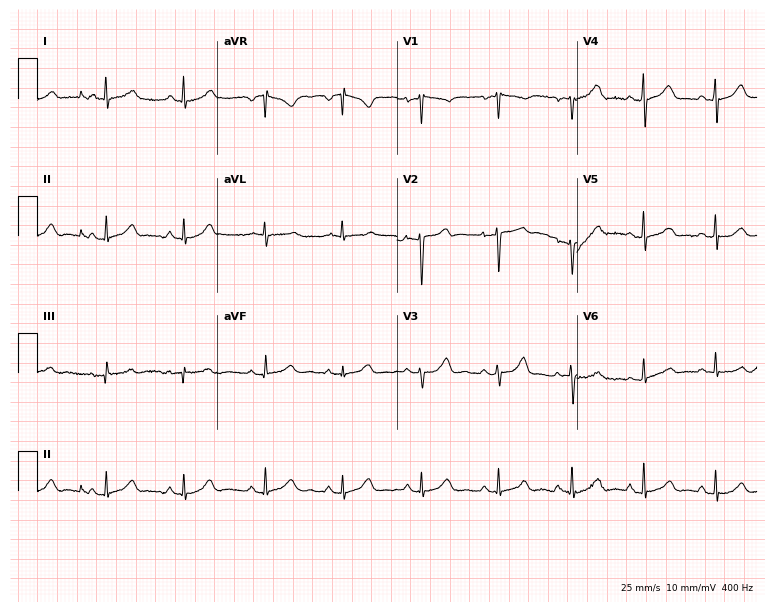
Resting 12-lead electrocardiogram (7.3-second recording at 400 Hz). Patient: a woman, 37 years old. None of these six findings is recorded: first-degree AV block, right bundle branch block, left bundle branch block, sinus bradycardia, atrial fibrillation, sinus tachycardia.